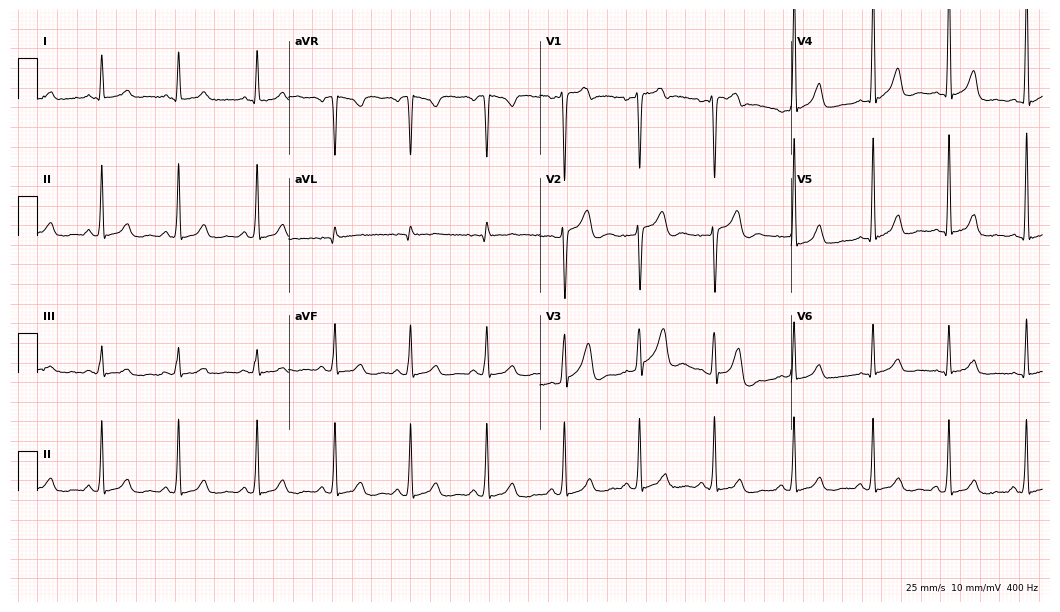
Standard 12-lead ECG recorded from a 44-year-old male patient (10.2-second recording at 400 Hz). None of these six findings is recorded: first-degree AV block, right bundle branch block, left bundle branch block, sinus bradycardia, atrial fibrillation, sinus tachycardia. Other findings, if any, are not listed.